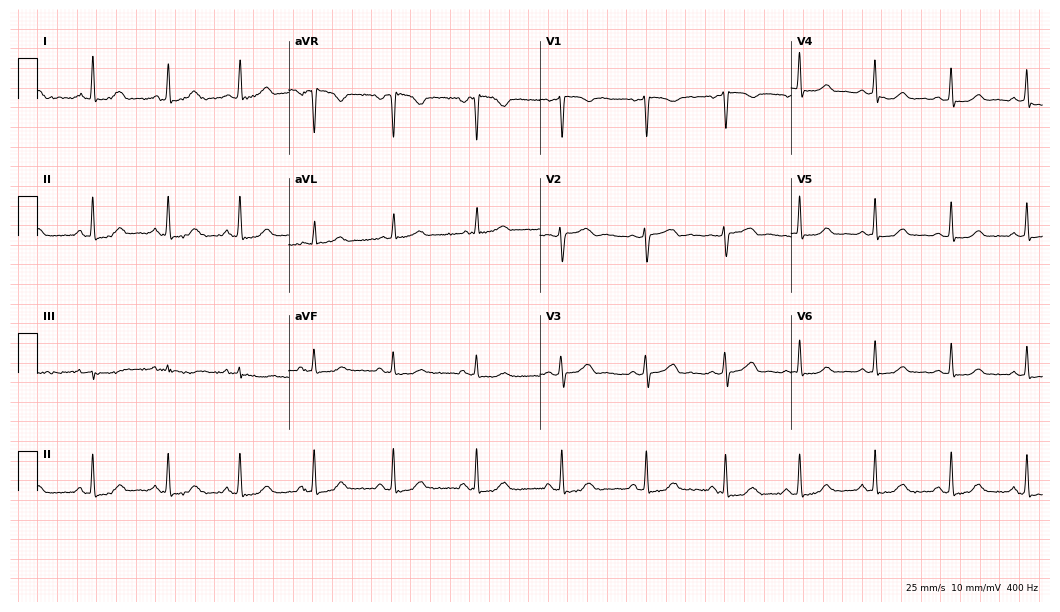
Electrocardiogram (10.2-second recording at 400 Hz), a female, 38 years old. Overall reading on record: normal ECG.